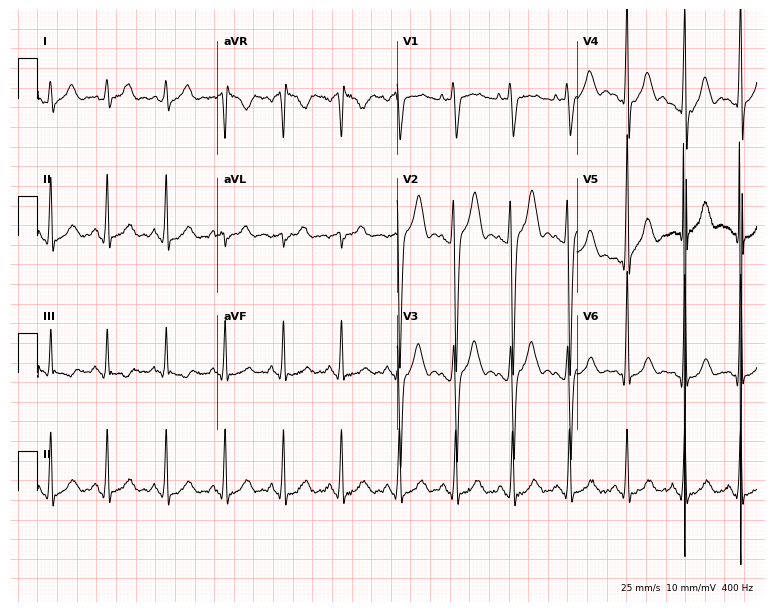
12-lead ECG from a male patient, 22 years old (7.3-second recording at 400 Hz). Shows sinus tachycardia (a sinus rate of 100 beats per minute or more).